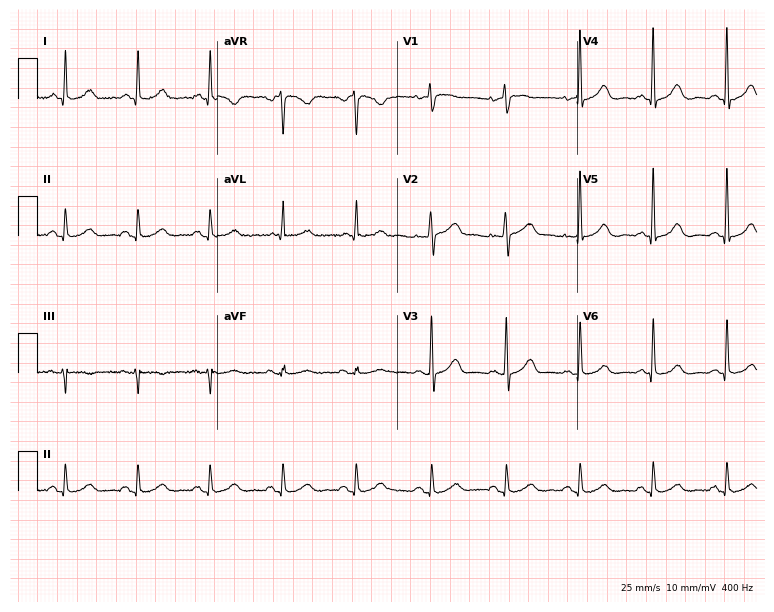
Electrocardiogram (7.3-second recording at 400 Hz), a female patient, 45 years old. Overall reading on record: normal ECG.